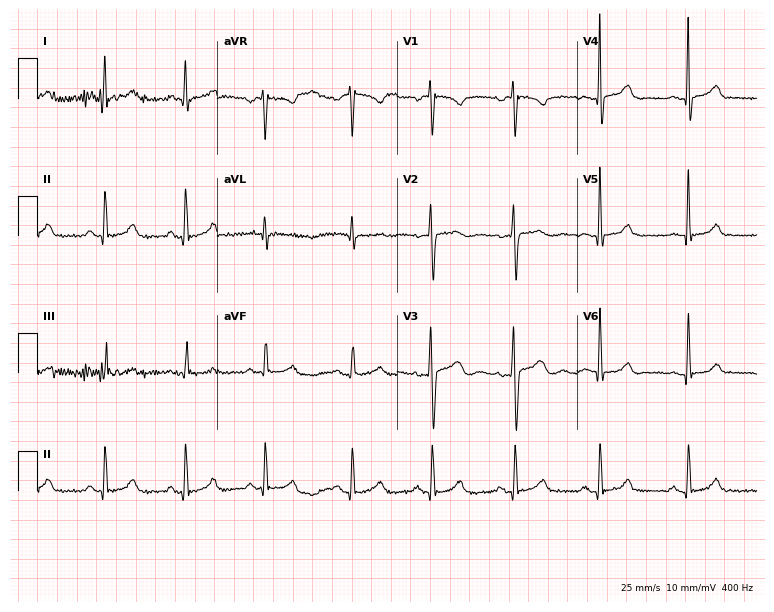
12-lead ECG from a 41-year-old female patient. Labelled as a normal ECG.